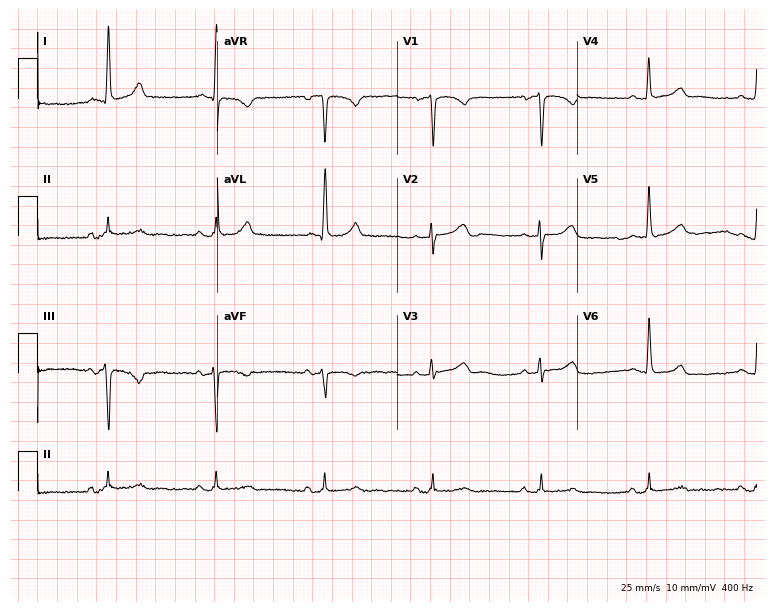
ECG — a female patient, 82 years old. Screened for six findings — first-degree AV block, right bundle branch block (RBBB), left bundle branch block (LBBB), sinus bradycardia, atrial fibrillation (AF), sinus tachycardia — none is recorded.